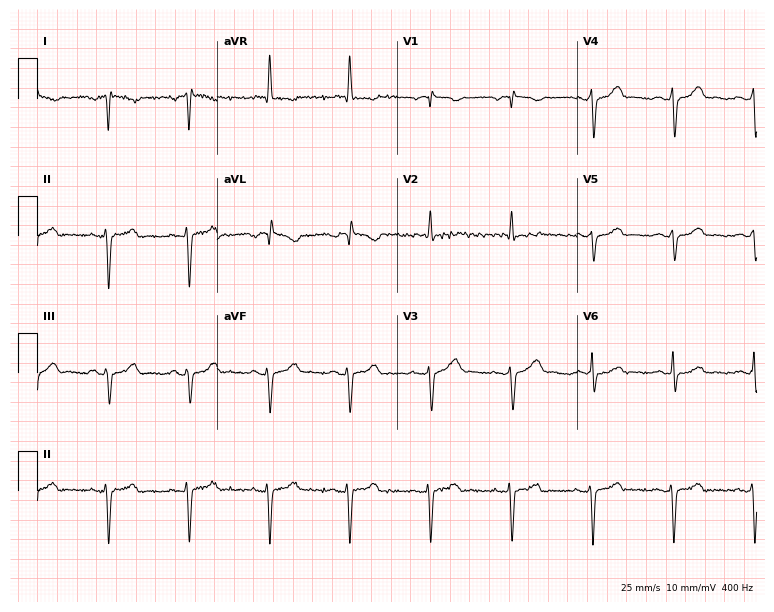
12-lead ECG from a 68-year-old man. Screened for six findings — first-degree AV block, right bundle branch block, left bundle branch block, sinus bradycardia, atrial fibrillation, sinus tachycardia — none is recorded.